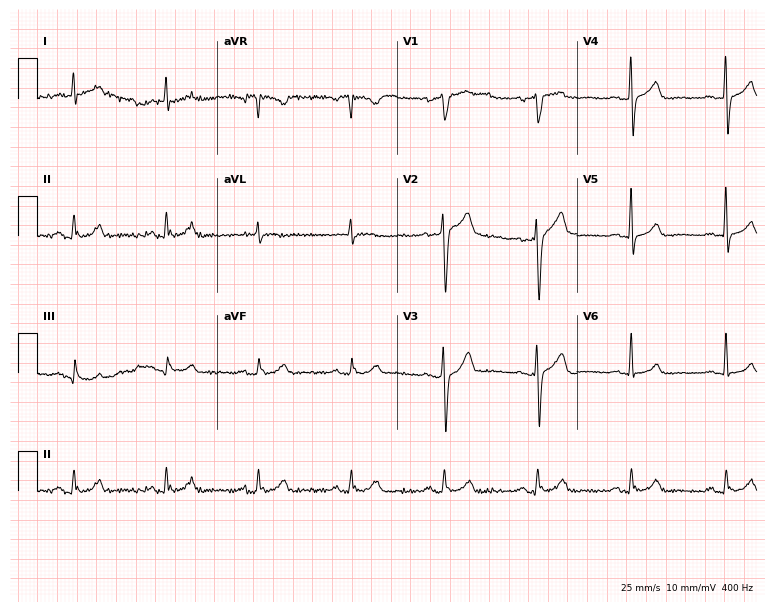
Electrocardiogram (7.3-second recording at 400 Hz), a 58-year-old male patient. Of the six screened findings (first-degree AV block, right bundle branch block (RBBB), left bundle branch block (LBBB), sinus bradycardia, atrial fibrillation (AF), sinus tachycardia), none is recorded. Findings outside these six are not listed.